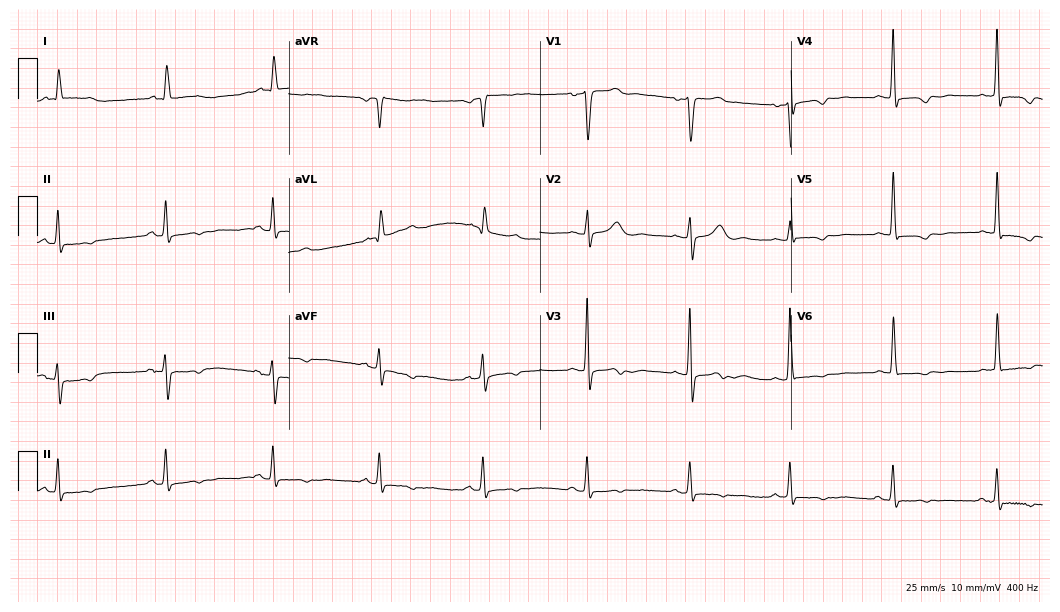
ECG — a 65-year-old female. Screened for six findings — first-degree AV block, right bundle branch block, left bundle branch block, sinus bradycardia, atrial fibrillation, sinus tachycardia — none is recorded. Findings outside these six are not listed.